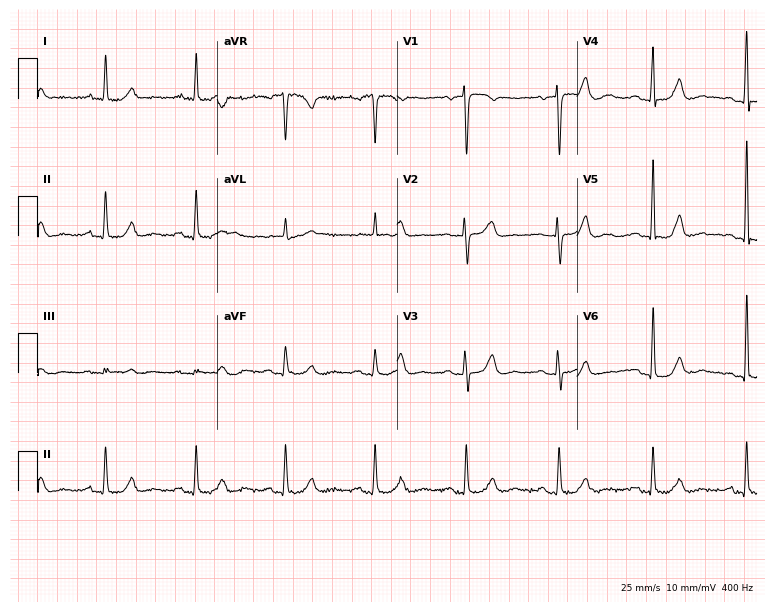
12-lead ECG from a female patient, 67 years old. Recorded interpretation: within normal limits.